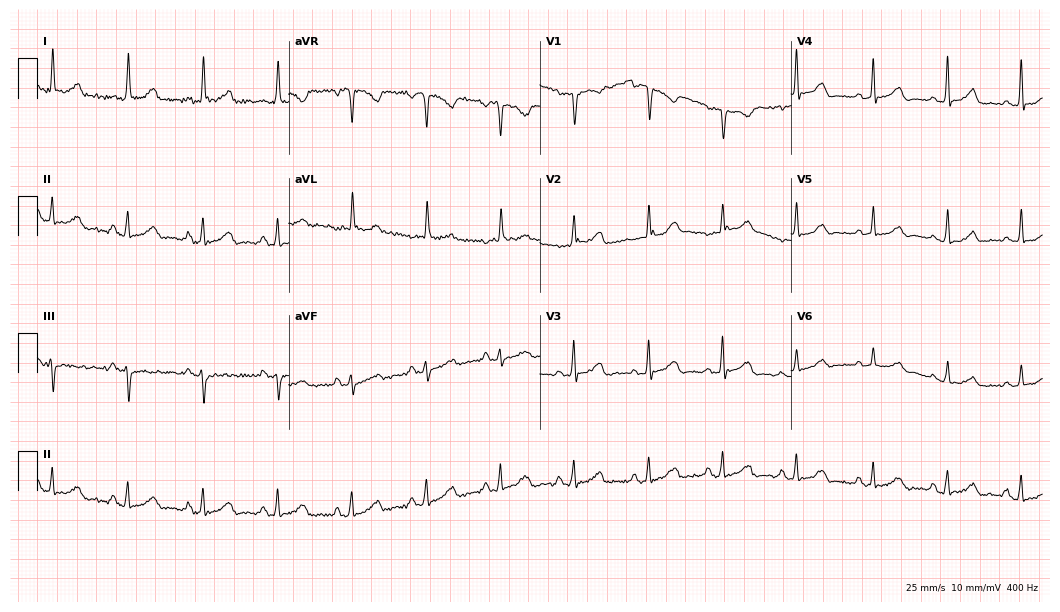
Standard 12-lead ECG recorded from a 43-year-old woman. Read as a normal ECG.